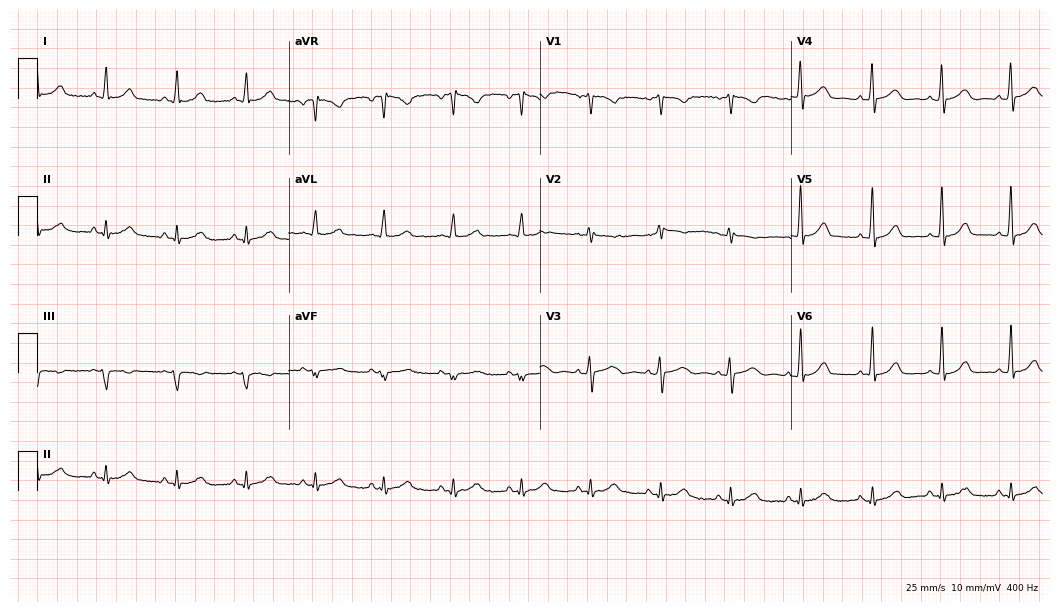
Standard 12-lead ECG recorded from a 43-year-old female patient. Read as a normal ECG.